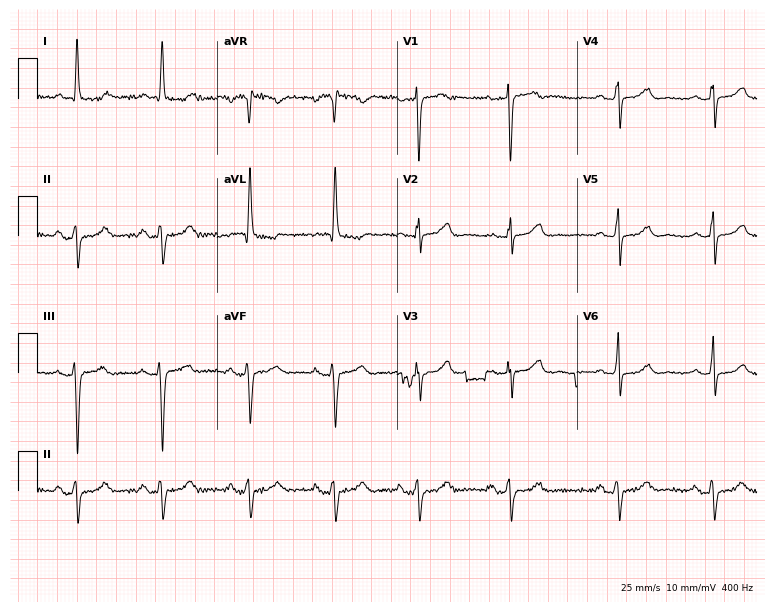
ECG — a woman, 75 years old. Screened for six findings — first-degree AV block, right bundle branch block, left bundle branch block, sinus bradycardia, atrial fibrillation, sinus tachycardia — none is recorded.